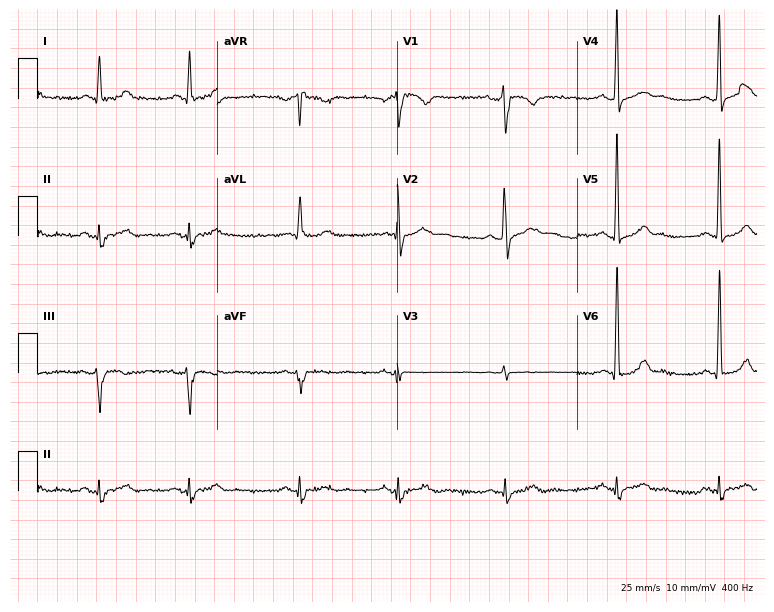
12-lead ECG from a male, 42 years old. Screened for six findings — first-degree AV block, right bundle branch block, left bundle branch block, sinus bradycardia, atrial fibrillation, sinus tachycardia — none is recorded. Findings outside these six are not listed.